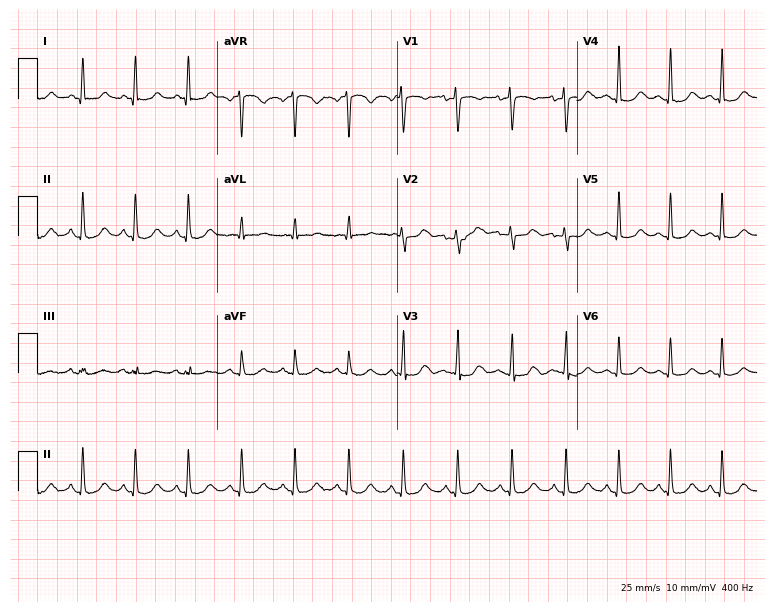
Resting 12-lead electrocardiogram. Patient: a female, 44 years old. The tracing shows sinus tachycardia (a sinus rate of 100 beats per minute or more).